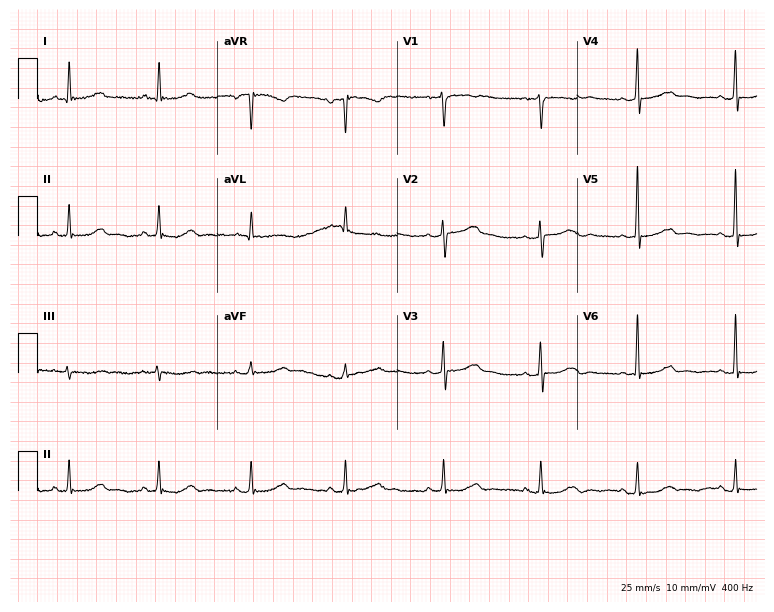
Standard 12-lead ECG recorded from a 61-year-old female patient (7.3-second recording at 400 Hz). None of these six findings is recorded: first-degree AV block, right bundle branch block (RBBB), left bundle branch block (LBBB), sinus bradycardia, atrial fibrillation (AF), sinus tachycardia. Other findings, if any, are not listed.